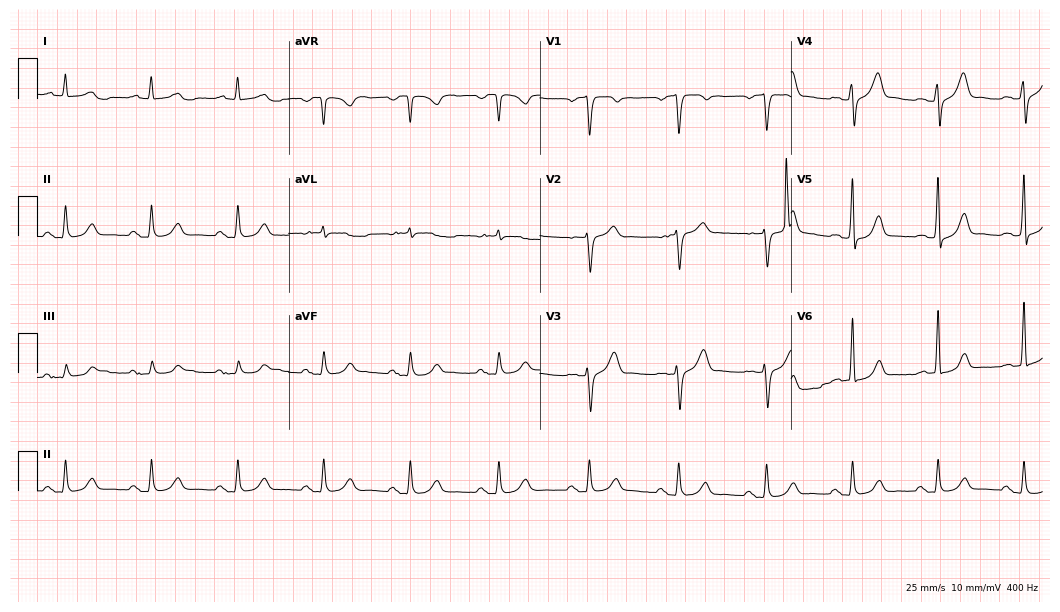
ECG — a male patient, 51 years old. Labelled as a normal ECG.